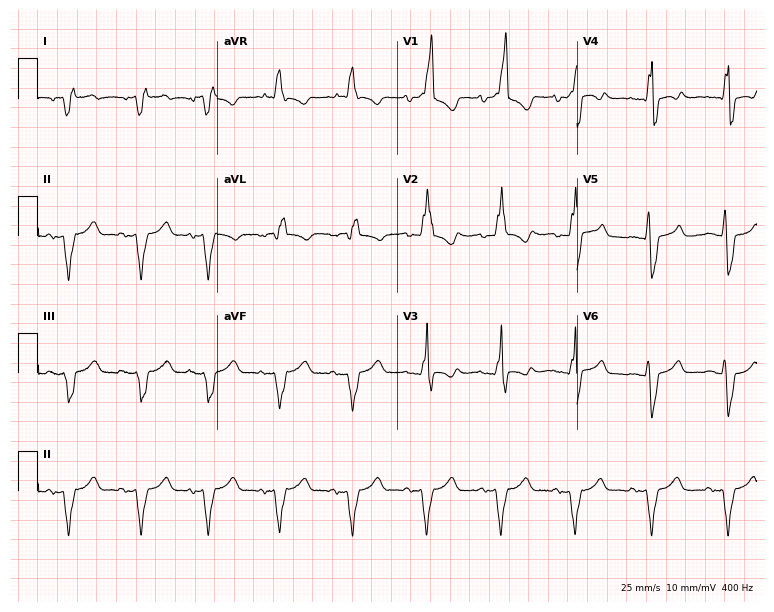
12-lead ECG from a male, 58 years old. Screened for six findings — first-degree AV block, right bundle branch block, left bundle branch block, sinus bradycardia, atrial fibrillation, sinus tachycardia — none is recorded. Other findings, if any, are not listed.